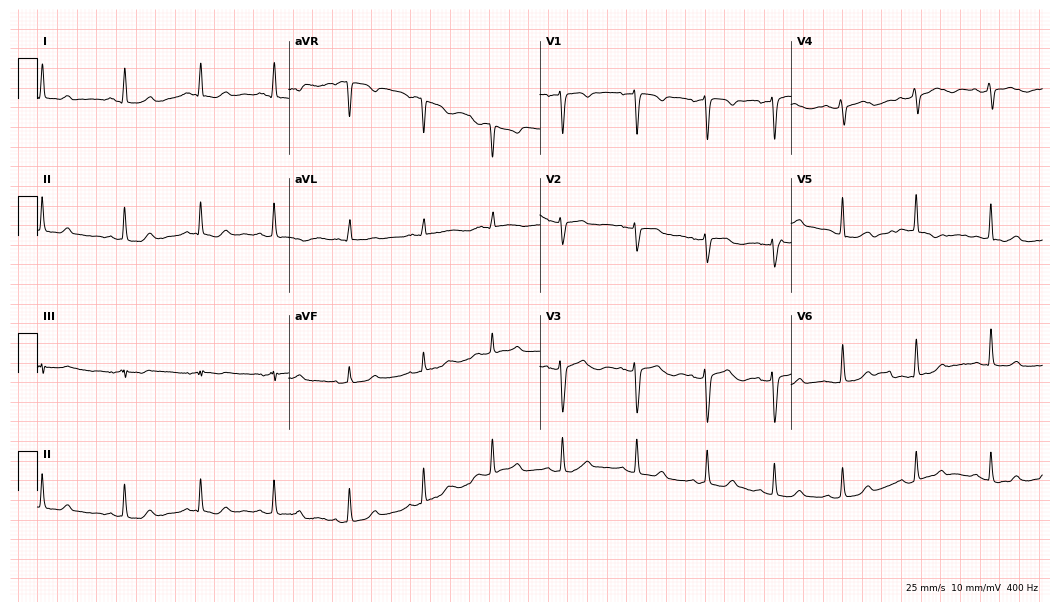
Electrocardiogram, a female, 25 years old. Overall reading on record: normal ECG.